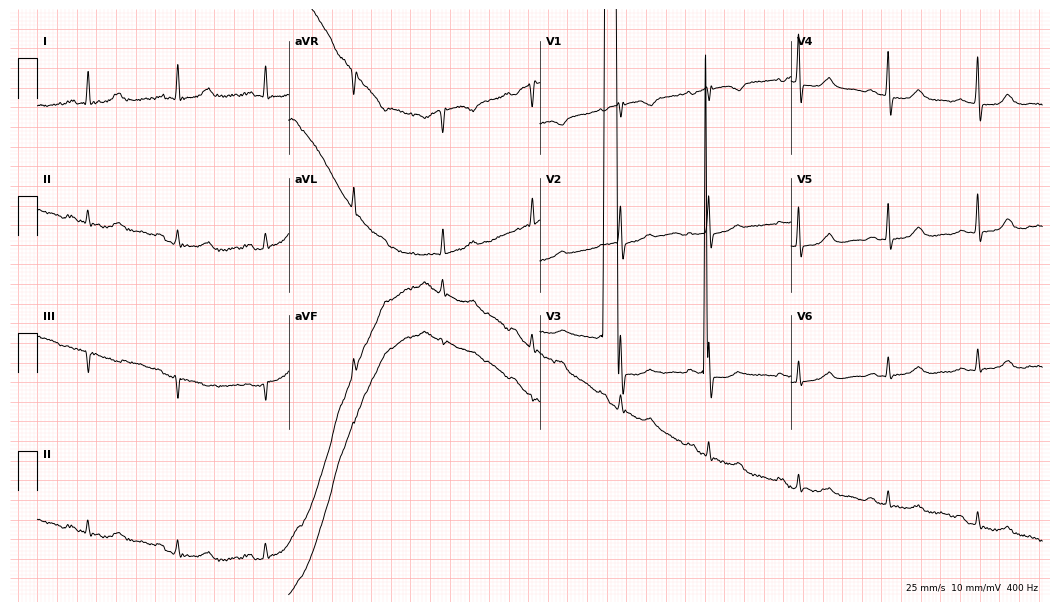
ECG (10.2-second recording at 400 Hz) — a 78-year-old woman. Screened for six findings — first-degree AV block, right bundle branch block, left bundle branch block, sinus bradycardia, atrial fibrillation, sinus tachycardia — none is recorded.